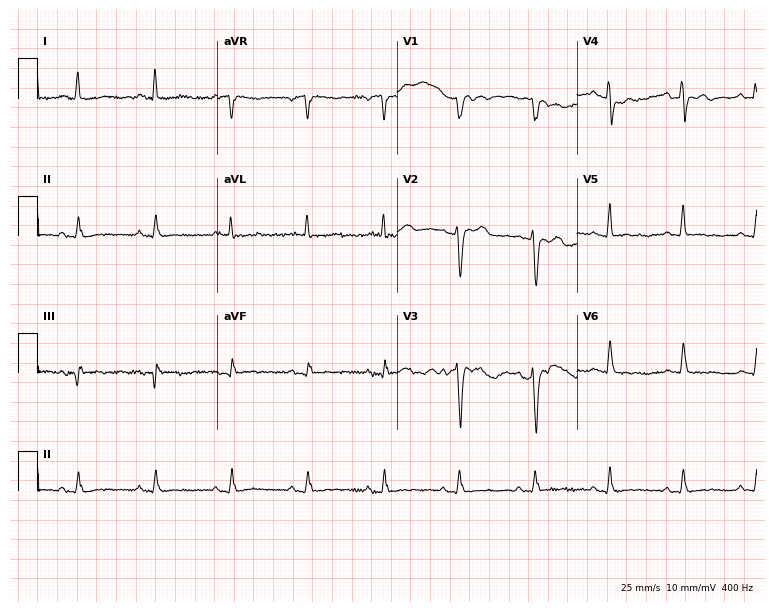
Standard 12-lead ECG recorded from an 83-year-old female. None of these six findings is recorded: first-degree AV block, right bundle branch block, left bundle branch block, sinus bradycardia, atrial fibrillation, sinus tachycardia.